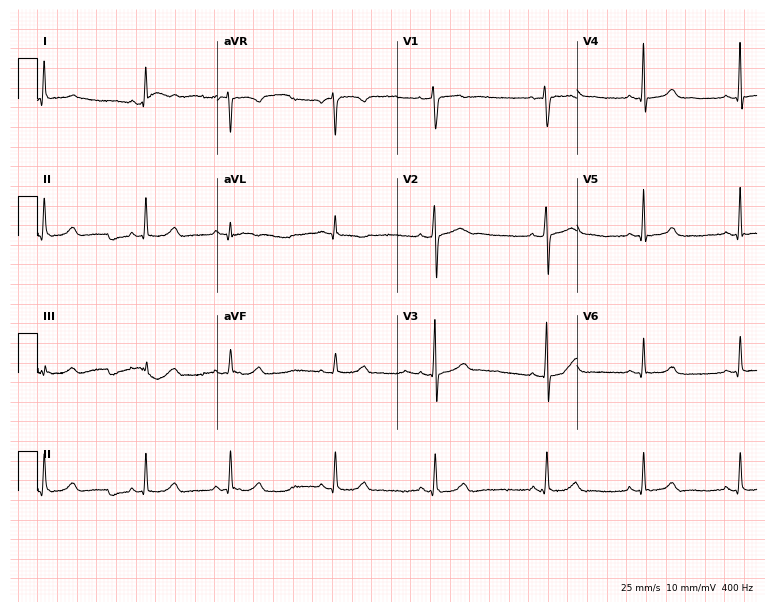
12-lead ECG from a 22-year-old woman. Screened for six findings — first-degree AV block, right bundle branch block, left bundle branch block, sinus bradycardia, atrial fibrillation, sinus tachycardia — none is recorded. Findings outside these six are not listed.